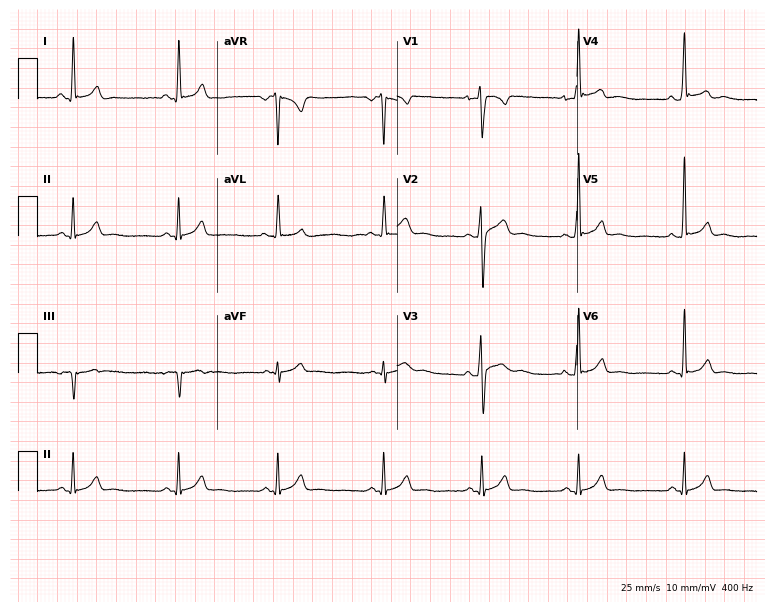
Standard 12-lead ECG recorded from a male patient, 17 years old. Read as a normal ECG.